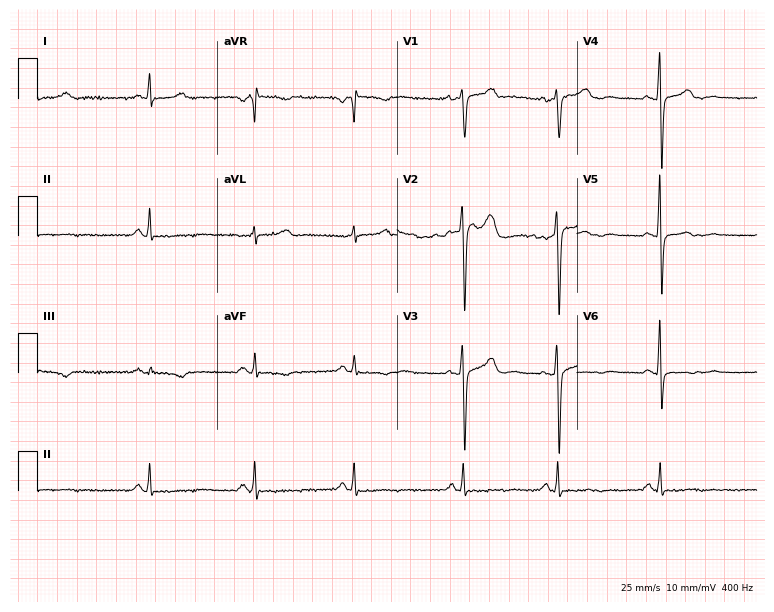
12-lead ECG from a 36-year-old female. No first-degree AV block, right bundle branch block, left bundle branch block, sinus bradycardia, atrial fibrillation or sinus tachycardia recorded for this tracing.